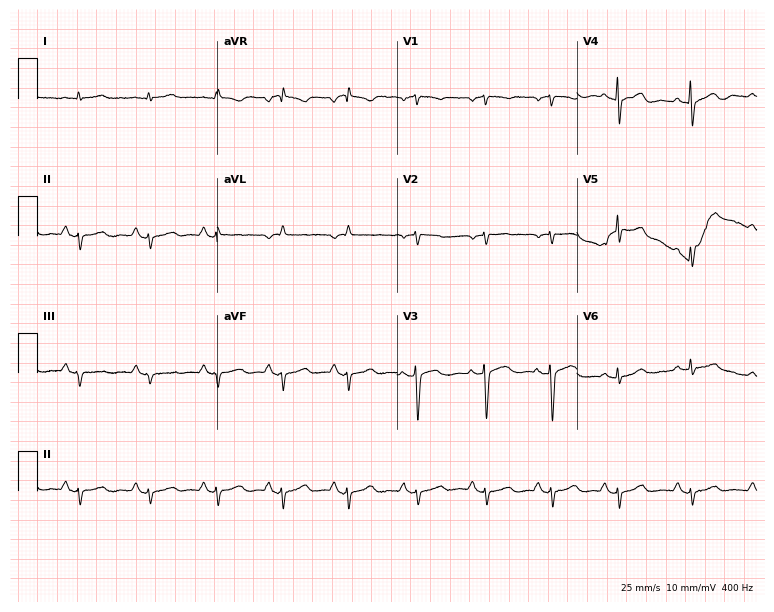
Resting 12-lead electrocardiogram (7.3-second recording at 400 Hz). Patient: a 55-year-old woman. None of these six findings is recorded: first-degree AV block, right bundle branch block, left bundle branch block, sinus bradycardia, atrial fibrillation, sinus tachycardia.